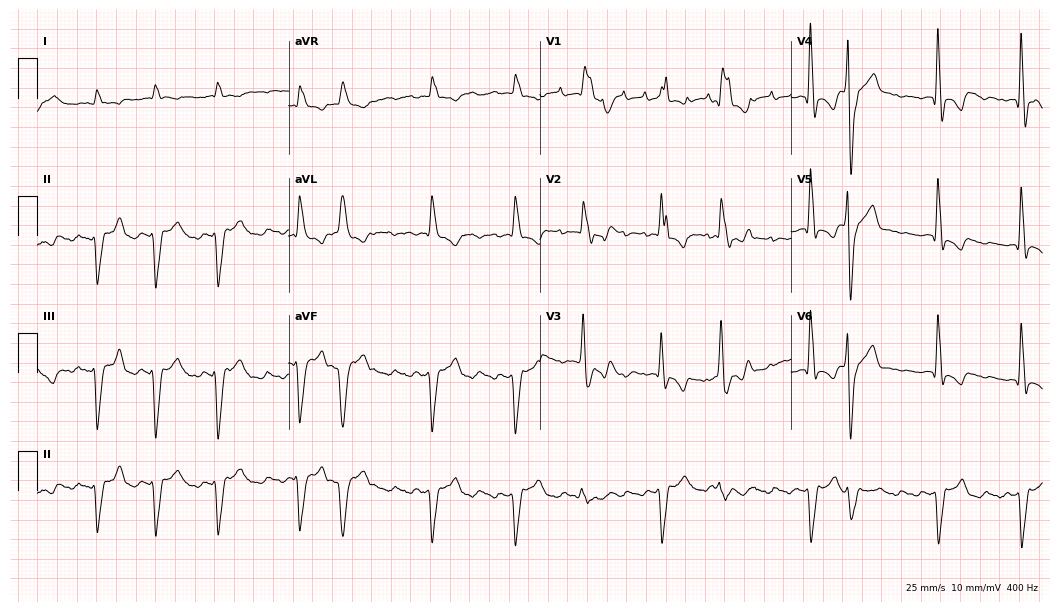
Electrocardiogram, a man, 78 years old. Interpretation includes right bundle branch block, atrial fibrillation.